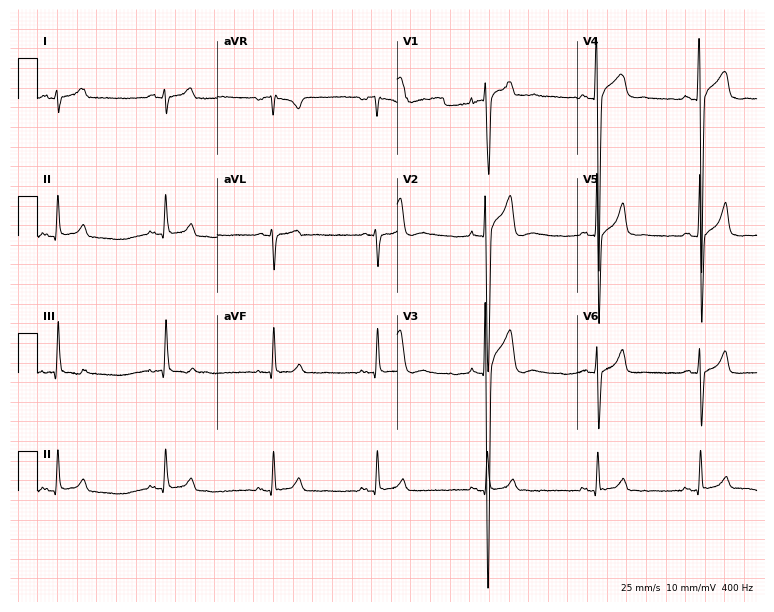
12-lead ECG from an 18-year-old man. No first-degree AV block, right bundle branch block (RBBB), left bundle branch block (LBBB), sinus bradycardia, atrial fibrillation (AF) or sinus tachycardia recorded for this tracing.